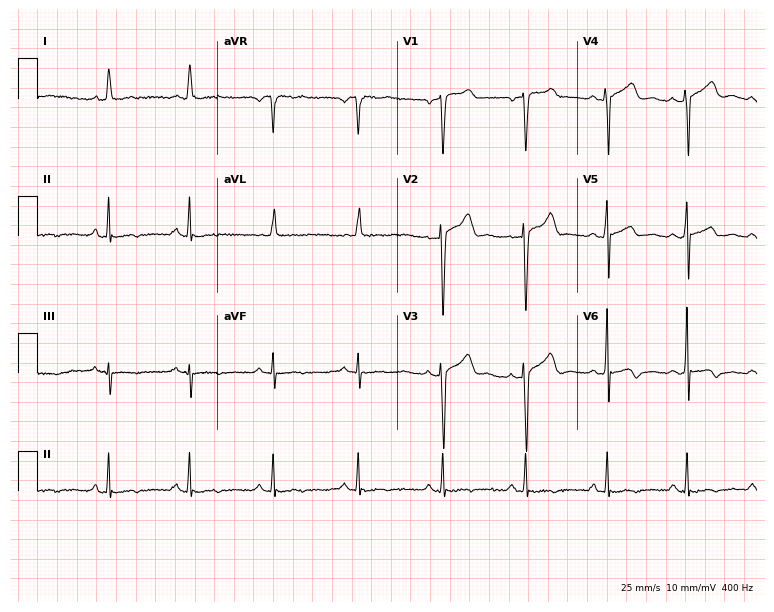
Resting 12-lead electrocardiogram (7.3-second recording at 400 Hz). Patient: a 50-year-old male. Read as a normal ECG.